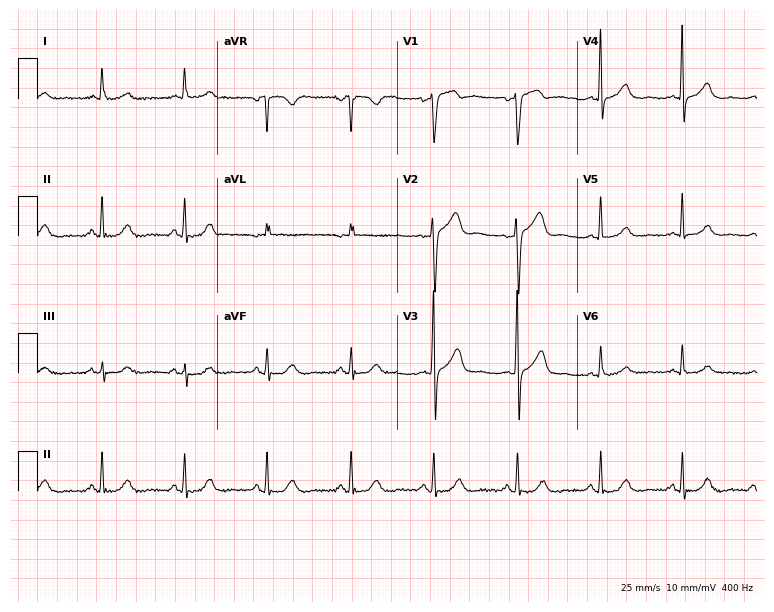
Standard 12-lead ECG recorded from a male patient, 67 years old. Read as a normal ECG.